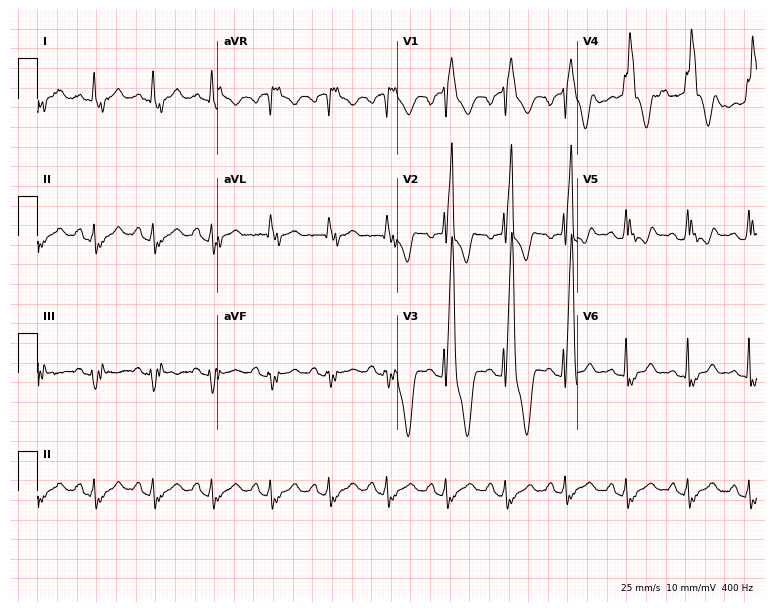
Standard 12-lead ECG recorded from a male patient, 21 years old. None of these six findings is recorded: first-degree AV block, right bundle branch block, left bundle branch block, sinus bradycardia, atrial fibrillation, sinus tachycardia.